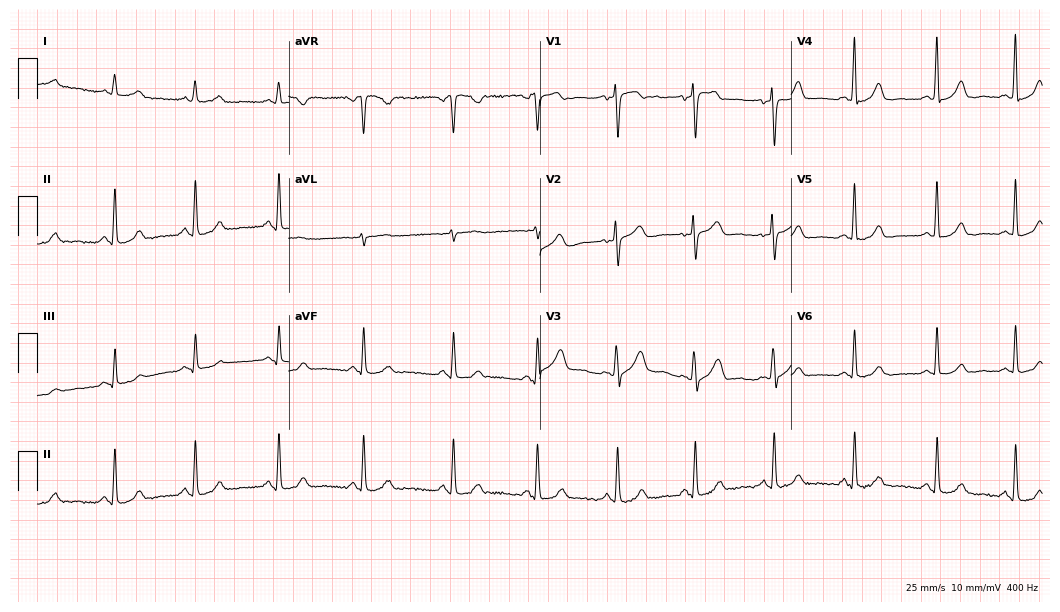
ECG — a female, 46 years old. Labelled as a normal ECG.